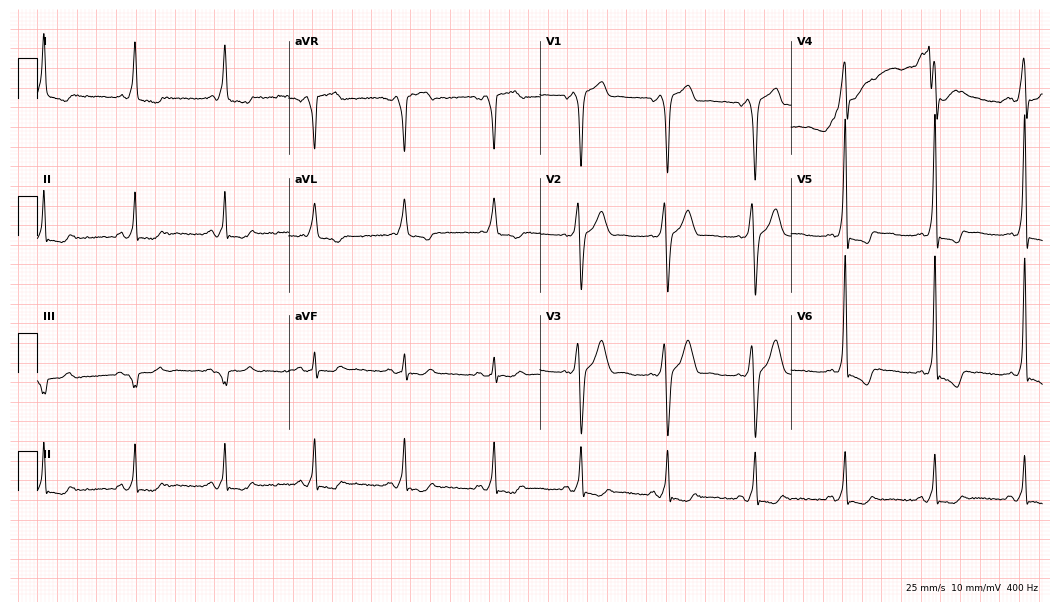
12-lead ECG from a 45-year-old male (10.2-second recording at 400 Hz). No first-degree AV block, right bundle branch block, left bundle branch block, sinus bradycardia, atrial fibrillation or sinus tachycardia recorded for this tracing.